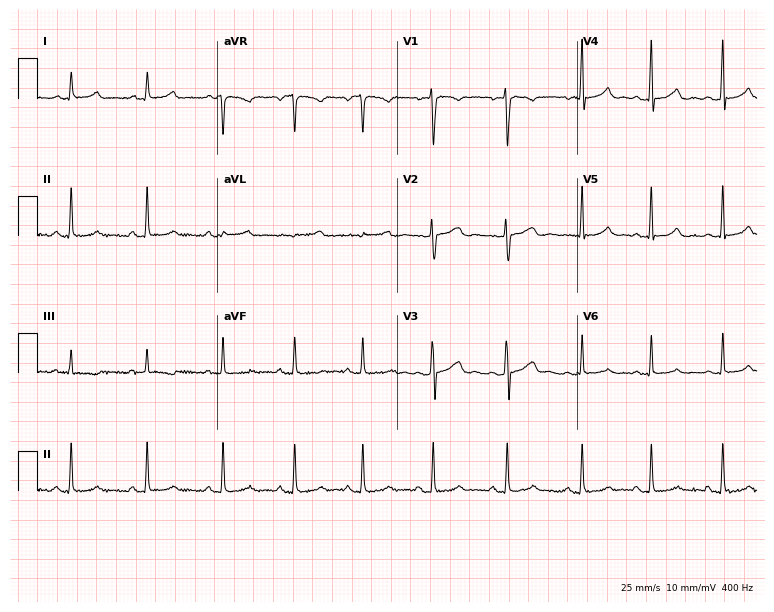
12-lead ECG from a 27-year-old woman (7.3-second recording at 400 Hz). Recorded interpretation: within normal limits.